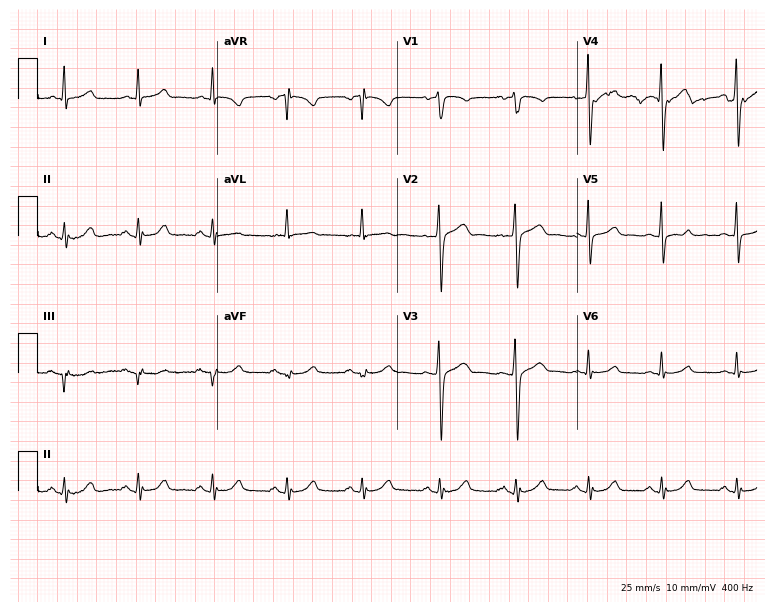
Standard 12-lead ECG recorded from a 57-year-old woman (7.3-second recording at 400 Hz). Read as a normal ECG.